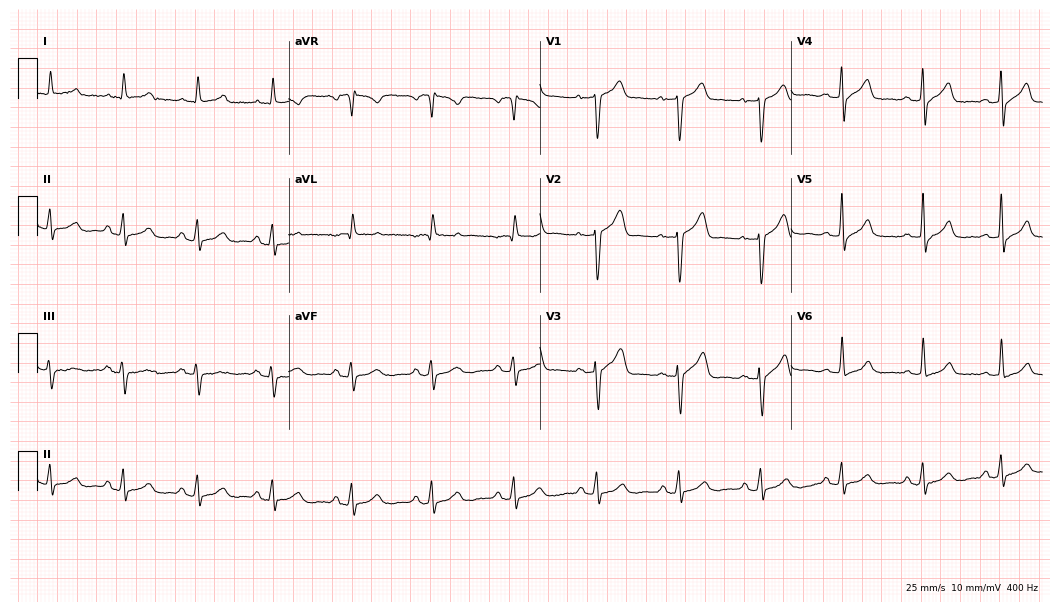
Standard 12-lead ECG recorded from a man, 69 years old (10.2-second recording at 400 Hz). Read as a normal ECG.